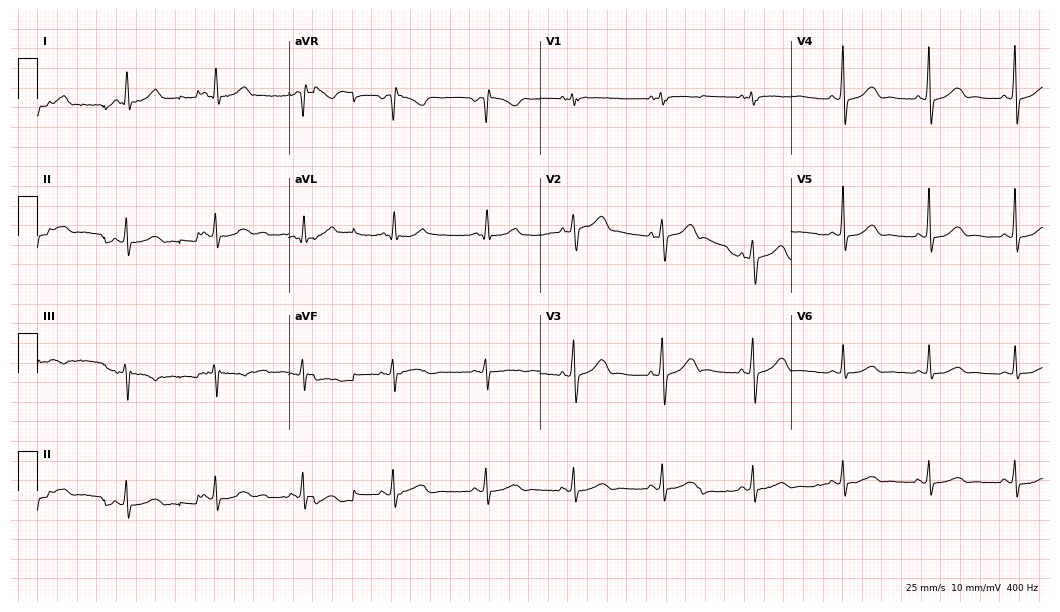
Electrocardiogram (10.2-second recording at 400 Hz), a female patient, 66 years old. Overall reading on record: normal ECG.